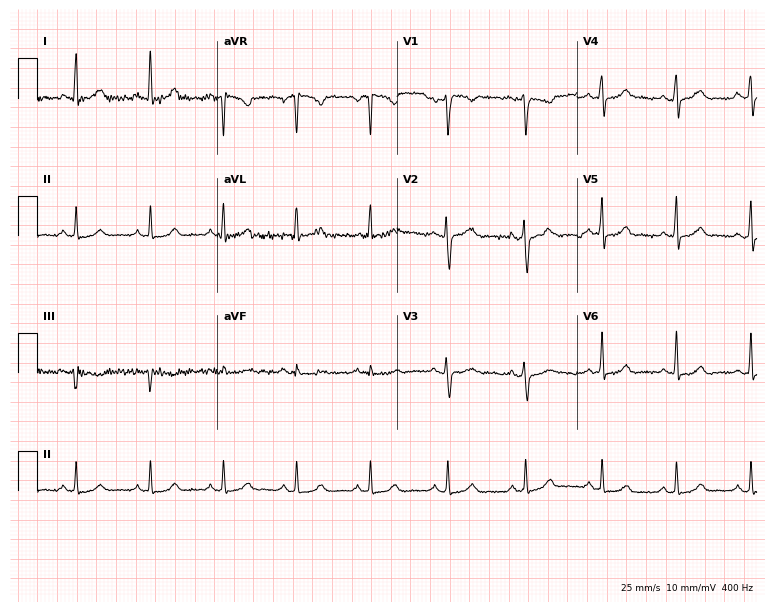
12-lead ECG (7.3-second recording at 400 Hz) from a 32-year-old woman. Labelled as a normal ECG.